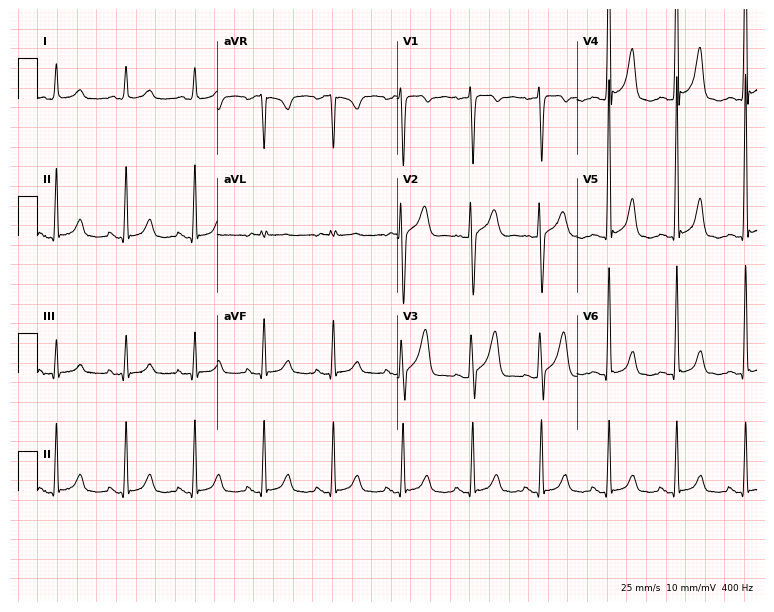
Standard 12-lead ECG recorded from a 58-year-old man (7.3-second recording at 400 Hz). Read as a normal ECG.